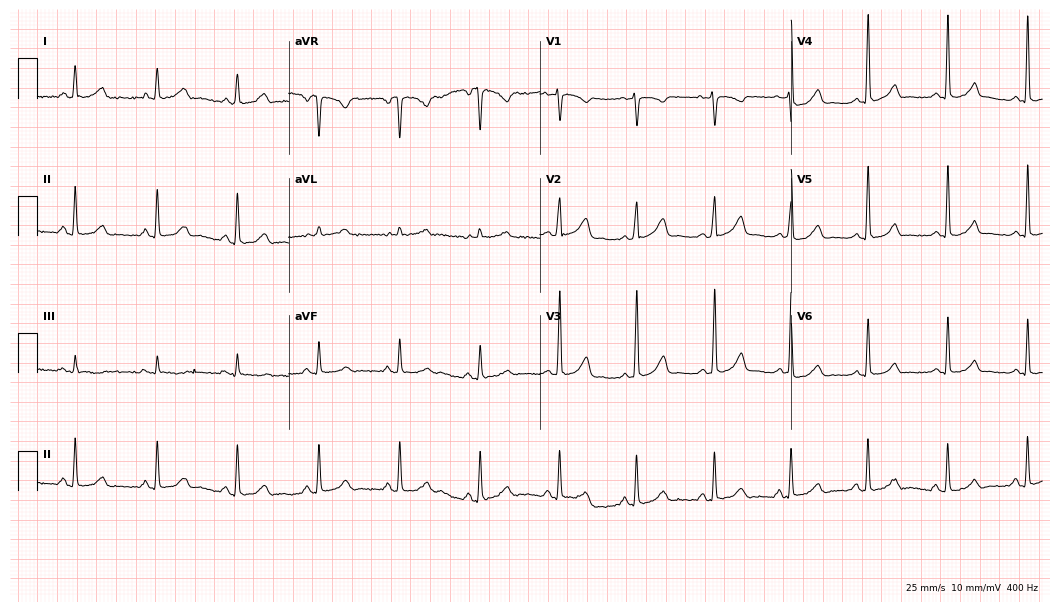
12-lead ECG (10.2-second recording at 400 Hz) from a 39-year-old female patient. Labelled as a normal ECG.